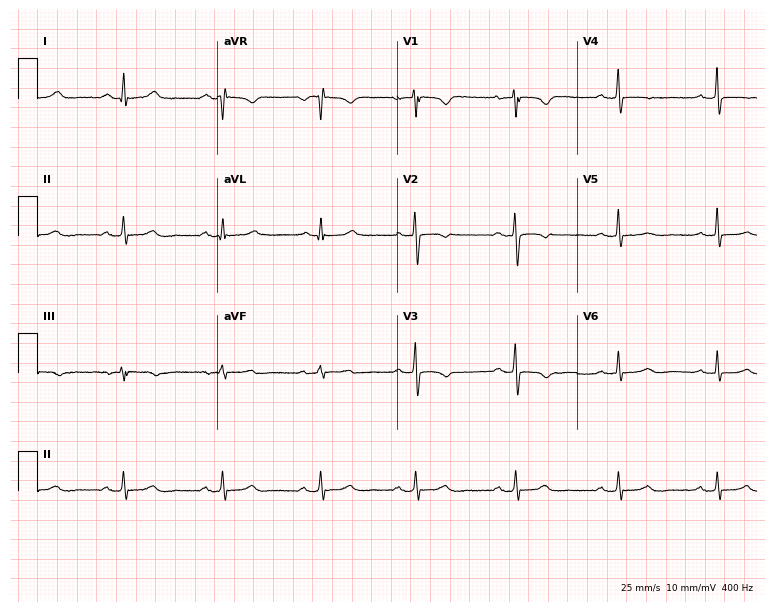
Electrocardiogram, a 48-year-old female. Of the six screened findings (first-degree AV block, right bundle branch block, left bundle branch block, sinus bradycardia, atrial fibrillation, sinus tachycardia), none is recorded.